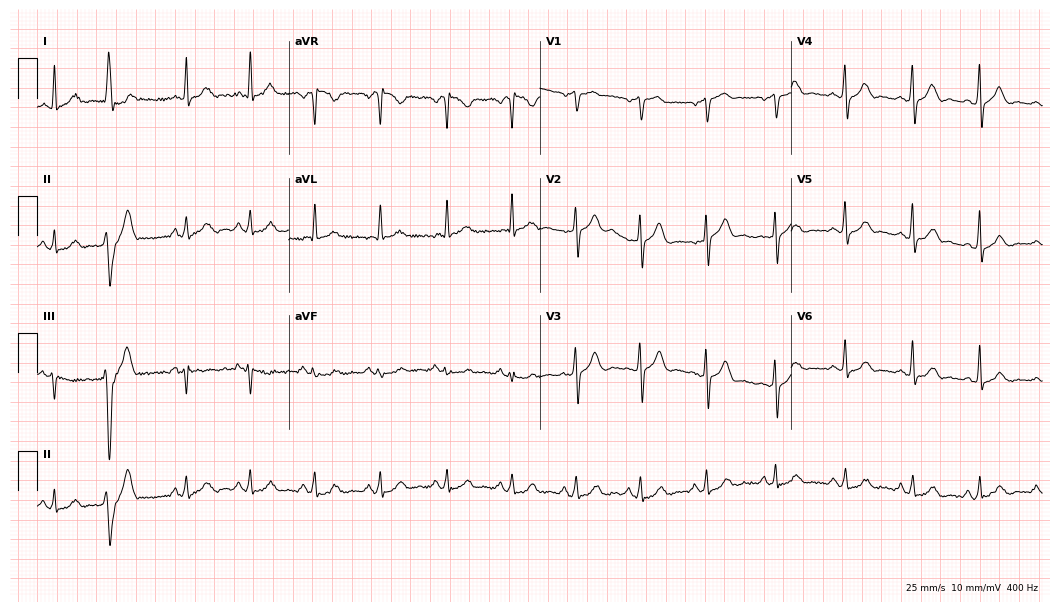
ECG — a woman, 59 years old. Screened for six findings — first-degree AV block, right bundle branch block (RBBB), left bundle branch block (LBBB), sinus bradycardia, atrial fibrillation (AF), sinus tachycardia — none is recorded. Other findings, if any, are not listed.